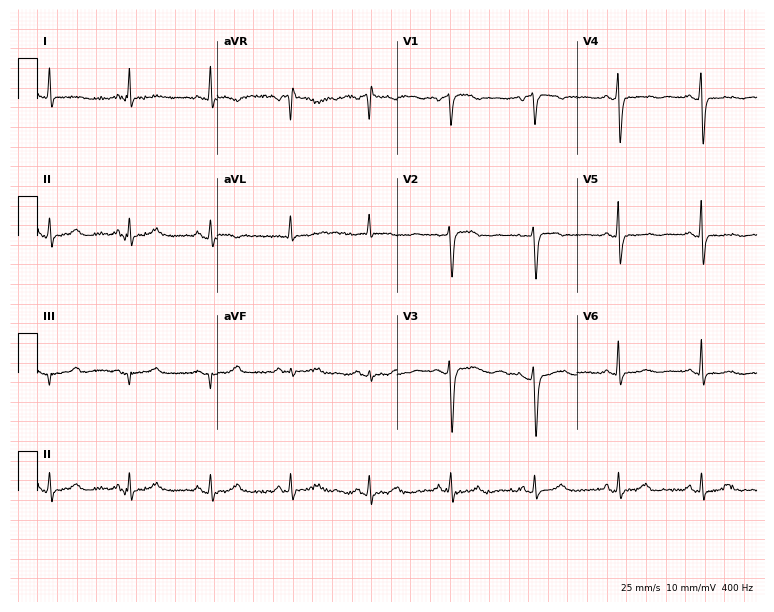
ECG — a female patient, 67 years old. Labelled as a normal ECG.